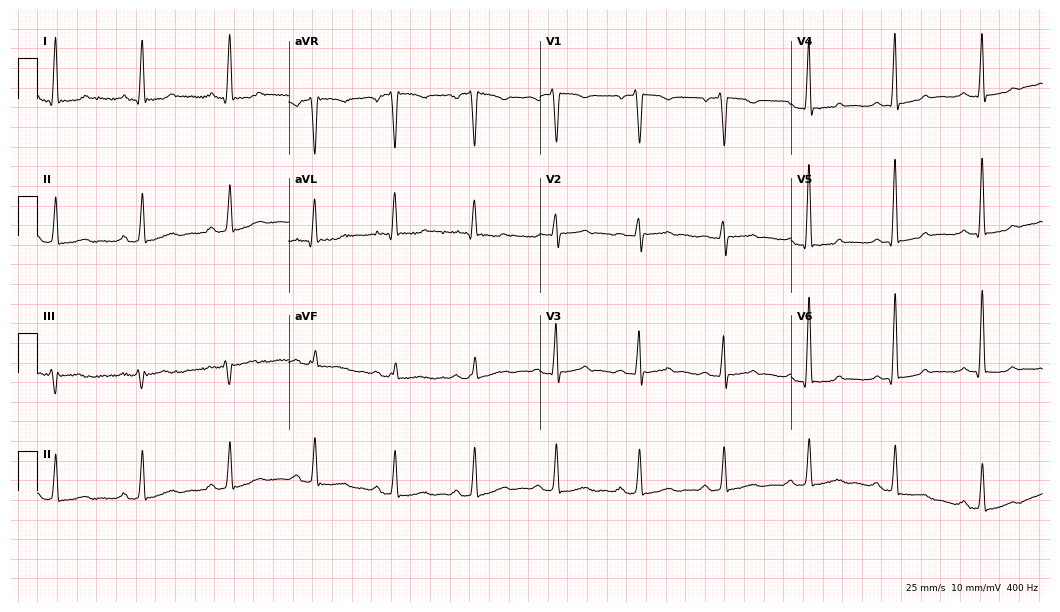
Standard 12-lead ECG recorded from a female, 51 years old. None of these six findings is recorded: first-degree AV block, right bundle branch block (RBBB), left bundle branch block (LBBB), sinus bradycardia, atrial fibrillation (AF), sinus tachycardia. Only these six findings were labelled.